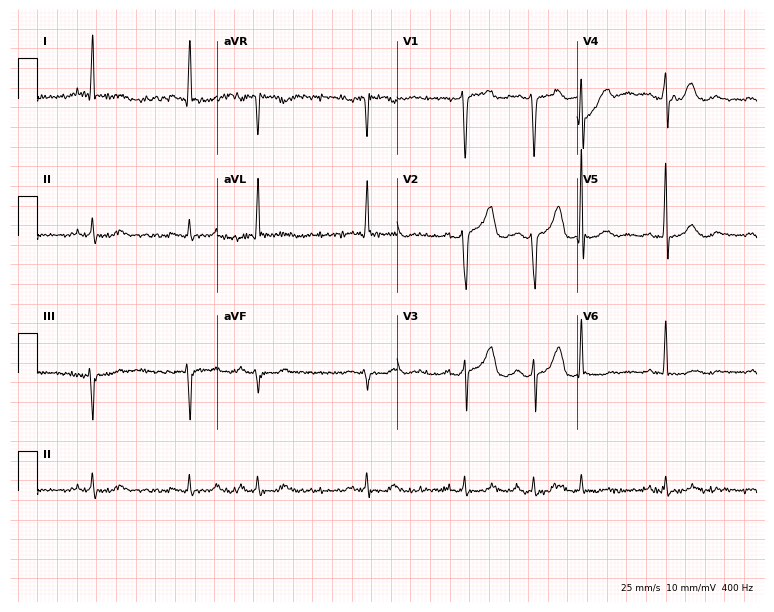
Electrocardiogram (7.3-second recording at 400 Hz), a male, 75 years old. Of the six screened findings (first-degree AV block, right bundle branch block, left bundle branch block, sinus bradycardia, atrial fibrillation, sinus tachycardia), none is recorded. Other findings, if any, are not listed.